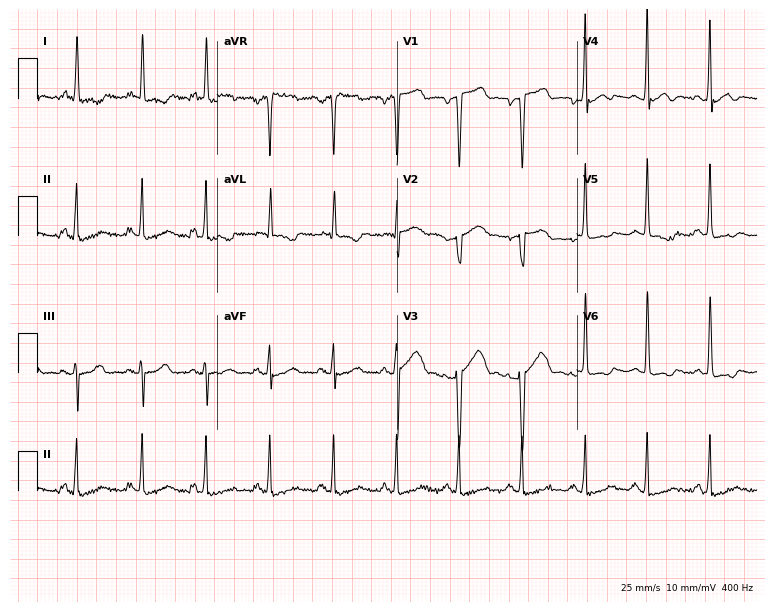
12-lead ECG from a woman, 31 years old. Screened for six findings — first-degree AV block, right bundle branch block, left bundle branch block, sinus bradycardia, atrial fibrillation, sinus tachycardia — none is recorded.